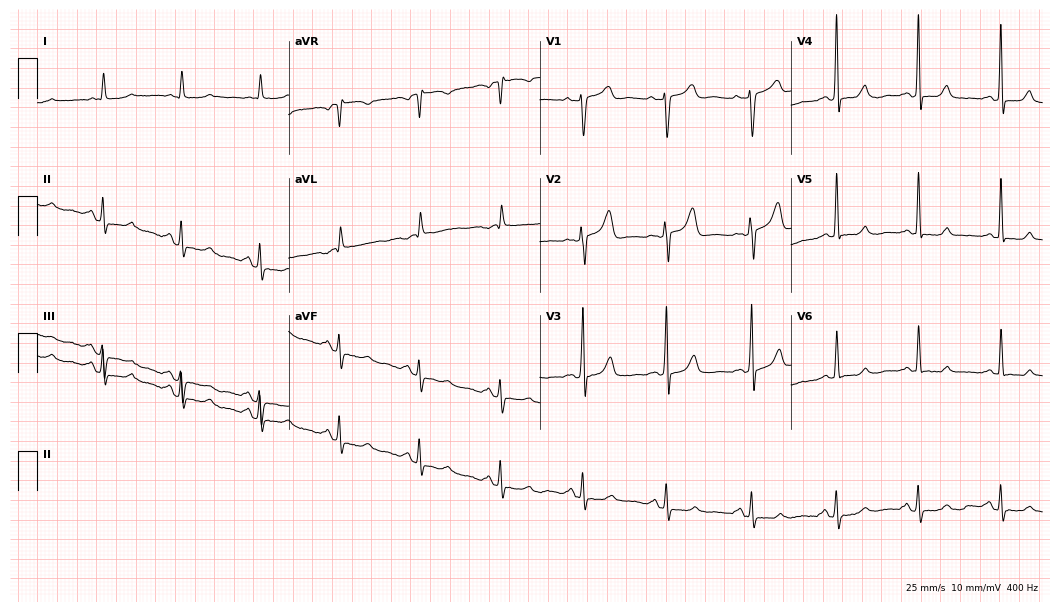
12-lead ECG (10.2-second recording at 400 Hz) from a female patient, 70 years old. Screened for six findings — first-degree AV block, right bundle branch block, left bundle branch block, sinus bradycardia, atrial fibrillation, sinus tachycardia — none is recorded. Other findings, if any, are not listed.